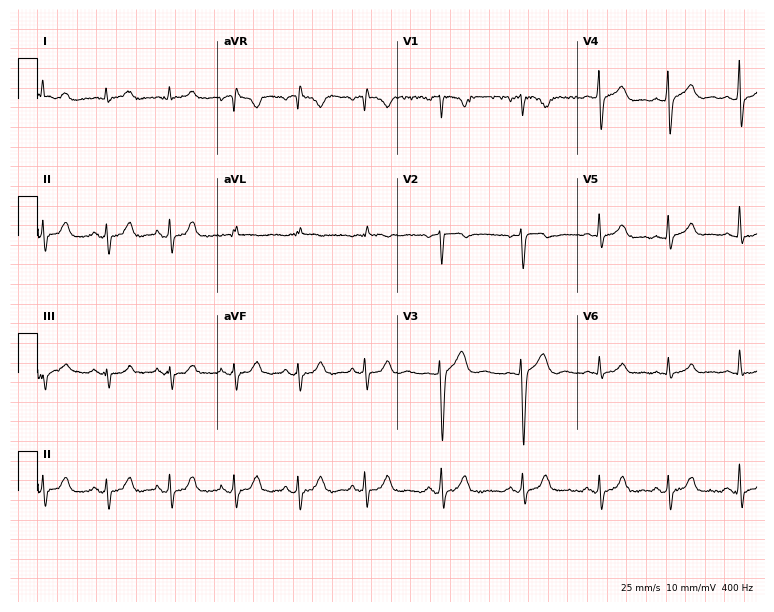
12-lead ECG from a 25-year-old man (7.3-second recording at 400 Hz). Recorded interpretation: within normal limits.